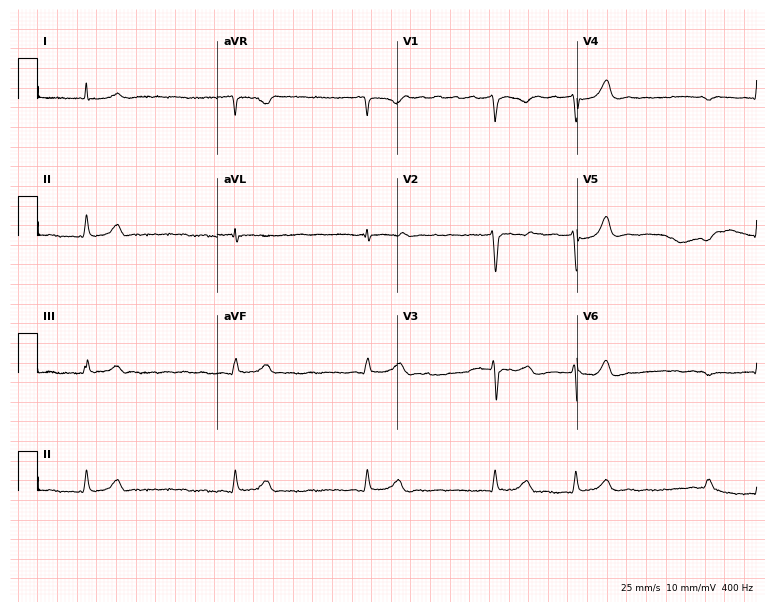
Resting 12-lead electrocardiogram. Patient: an 81-year-old man. The tracing shows atrial fibrillation (AF).